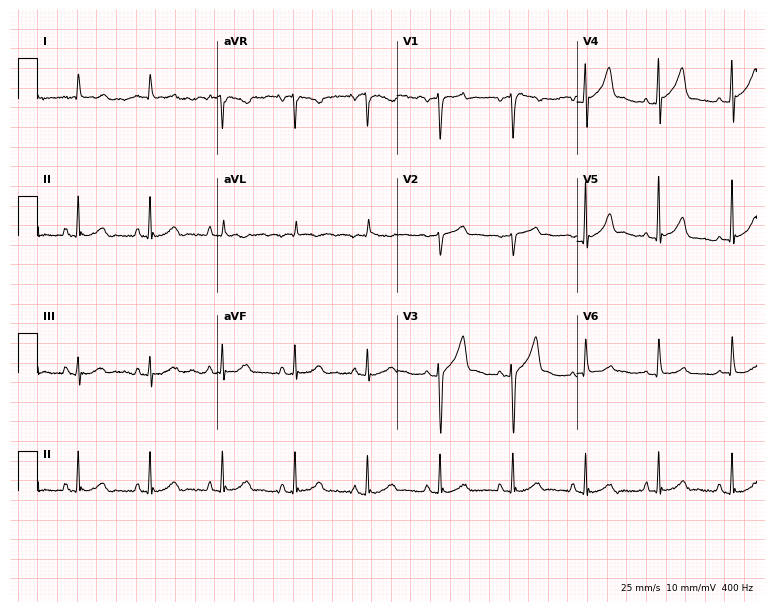
12-lead ECG from a male patient, 75 years old (7.3-second recording at 400 Hz). Recorded interpretation: within normal limits.